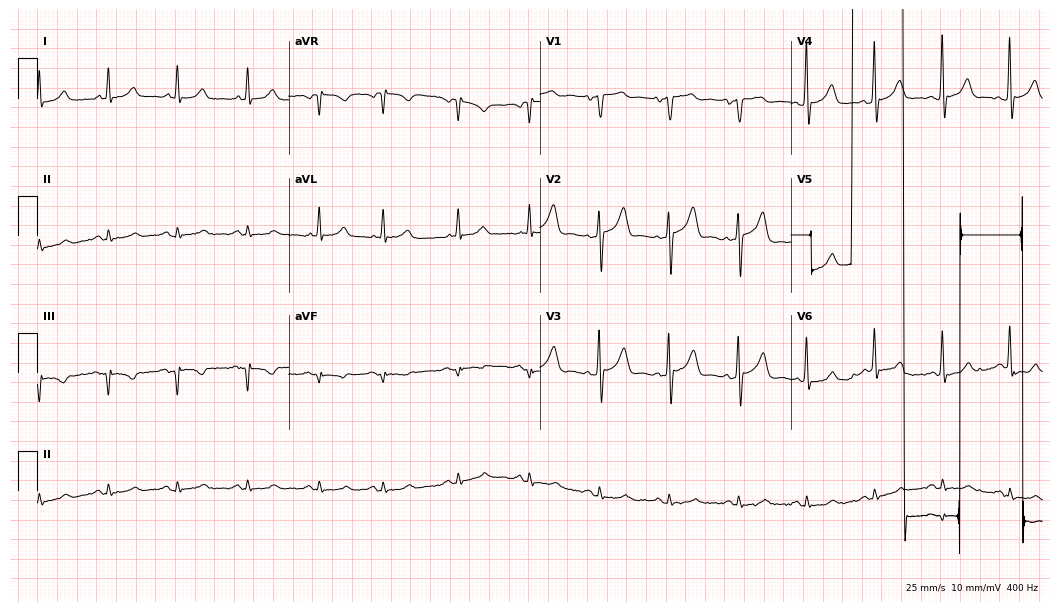
Resting 12-lead electrocardiogram. Patient: a male, 67 years old. None of these six findings is recorded: first-degree AV block, right bundle branch block (RBBB), left bundle branch block (LBBB), sinus bradycardia, atrial fibrillation (AF), sinus tachycardia. Findings outside these six are not listed.